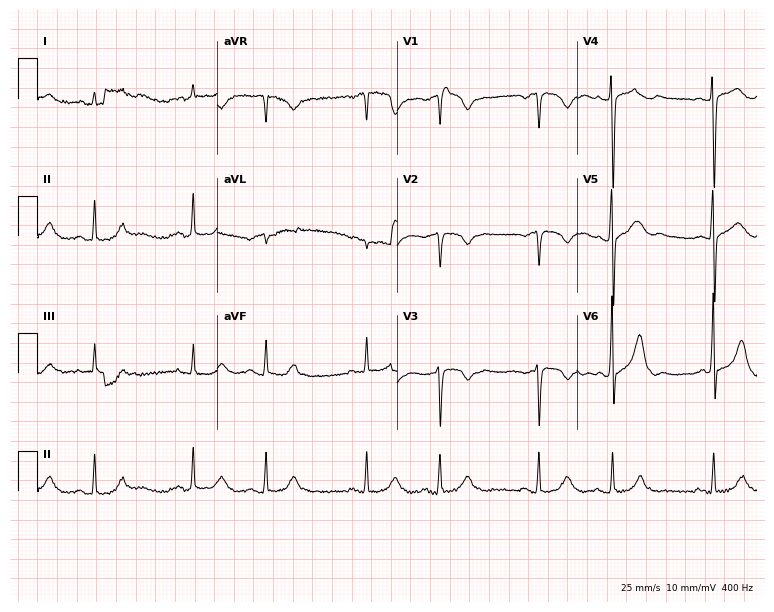
Electrocardiogram (7.3-second recording at 400 Hz), a male patient, 81 years old. Of the six screened findings (first-degree AV block, right bundle branch block (RBBB), left bundle branch block (LBBB), sinus bradycardia, atrial fibrillation (AF), sinus tachycardia), none is recorded.